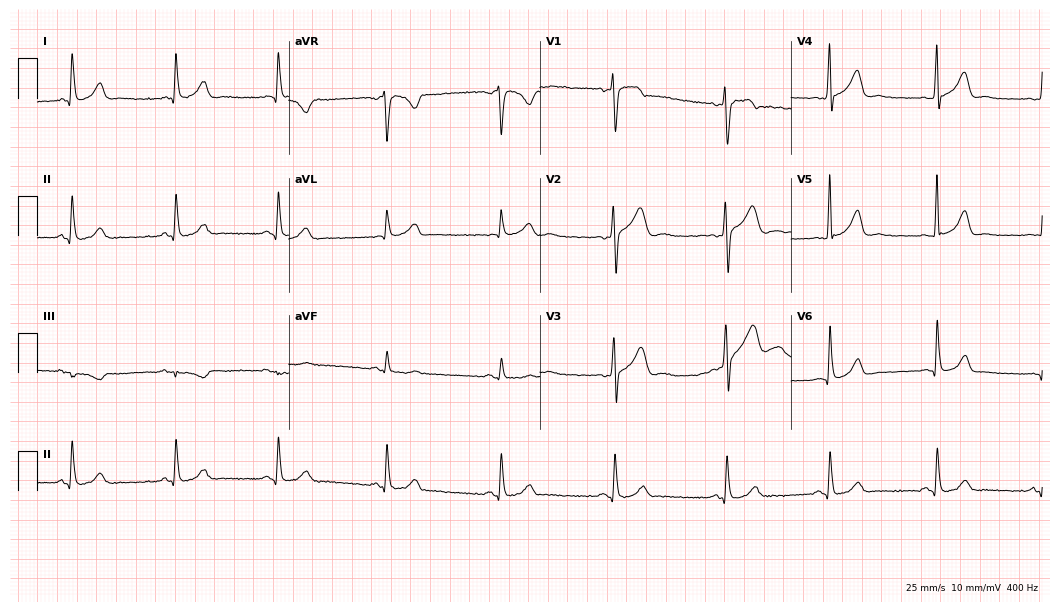
12-lead ECG (10.2-second recording at 400 Hz) from a male, 26 years old. Labelled as a normal ECG.